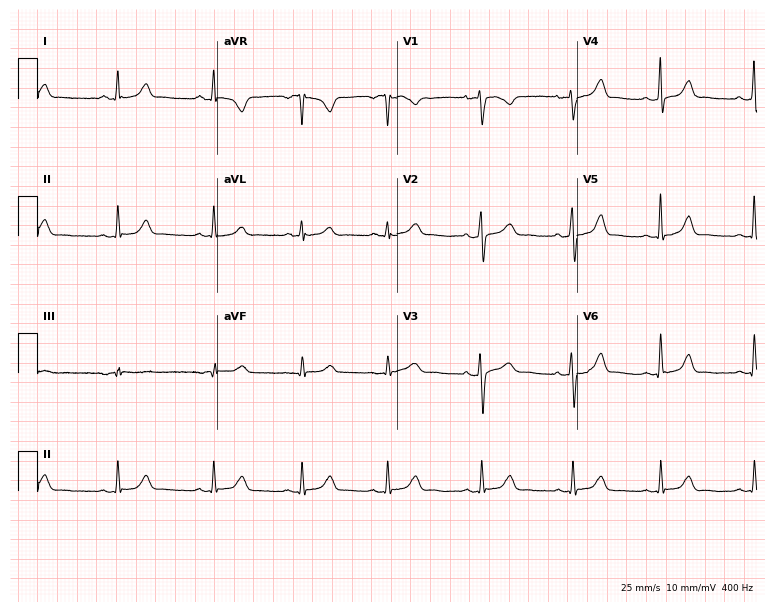
Electrocardiogram, a 29-year-old woman. Of the six screened findings (first-degree AV block, right bundle branch block, left bundle branch block, sinus bradycardia, atrial fibrillation, sinus tachycardia), none is recorded. Findings outside these six are not listed.